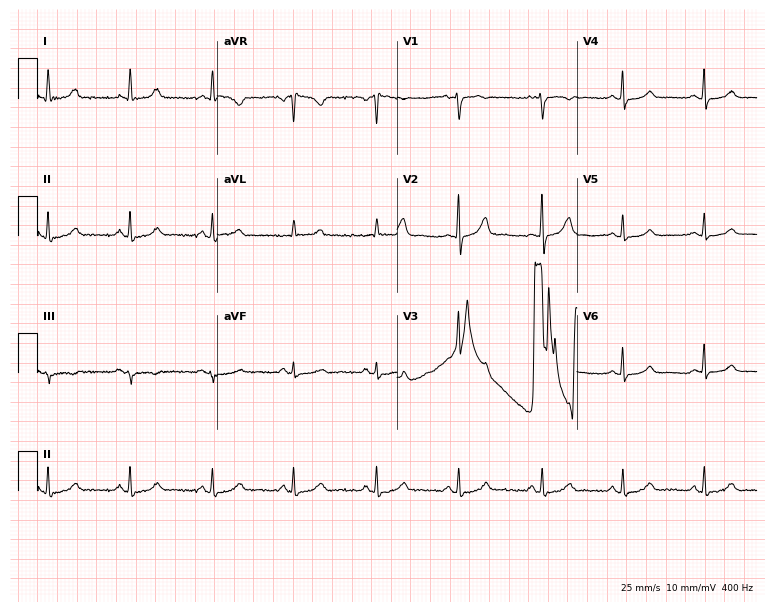
ECG — a female patient, 60 years old. Screened for six findings — first-degree AV block, right bundle branch block (RBBB), left bundle branch block (LBBB), sinus bradycardia, atrial fibrillation (AF), sinus tachycardia — none is recorded.